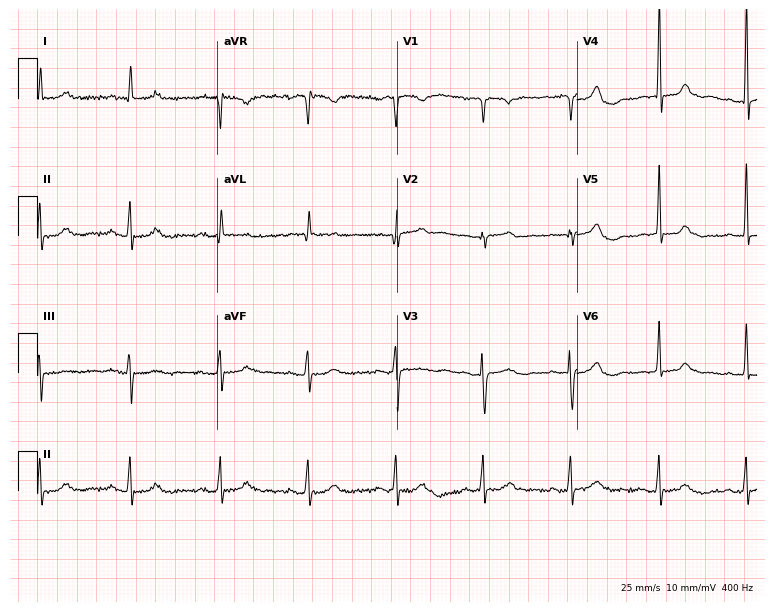
Standard 12-lead ECG recorded from a woman, 18 years old. None of these six findings is recorded: first-degree AV block, right bundle branch block, left bundle branch block, sinus bradycardia, atrial fibrillation, sinus tachycardia. Only these six findings were labelled.